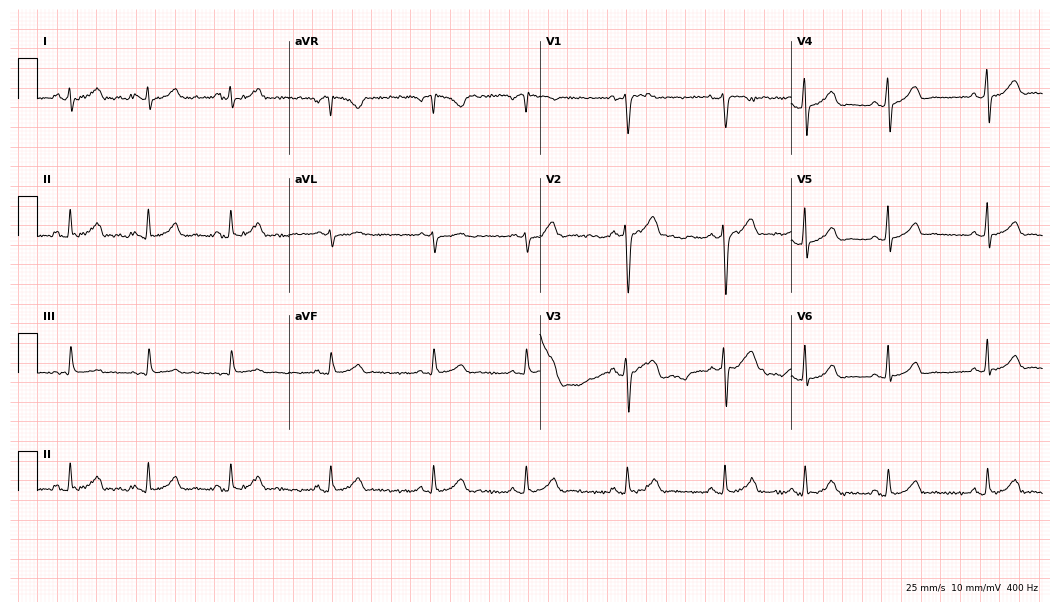
ECG — a female patient, 23 years old. Labelled as a normal ECG.